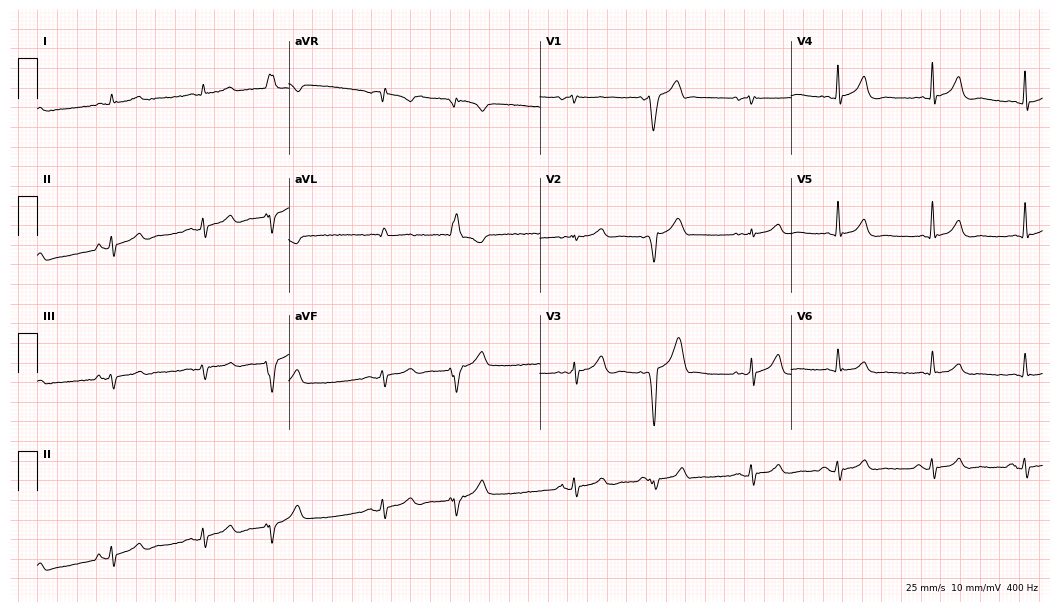
12-lead ECG from a man, 67 years old. No first-degree AV block, right bundle branch block, left bundle branch block, sinus bradycardia, atrial fibrillation or sinus tachycardia recorded for this tracing. Findings outside these six are not listed.